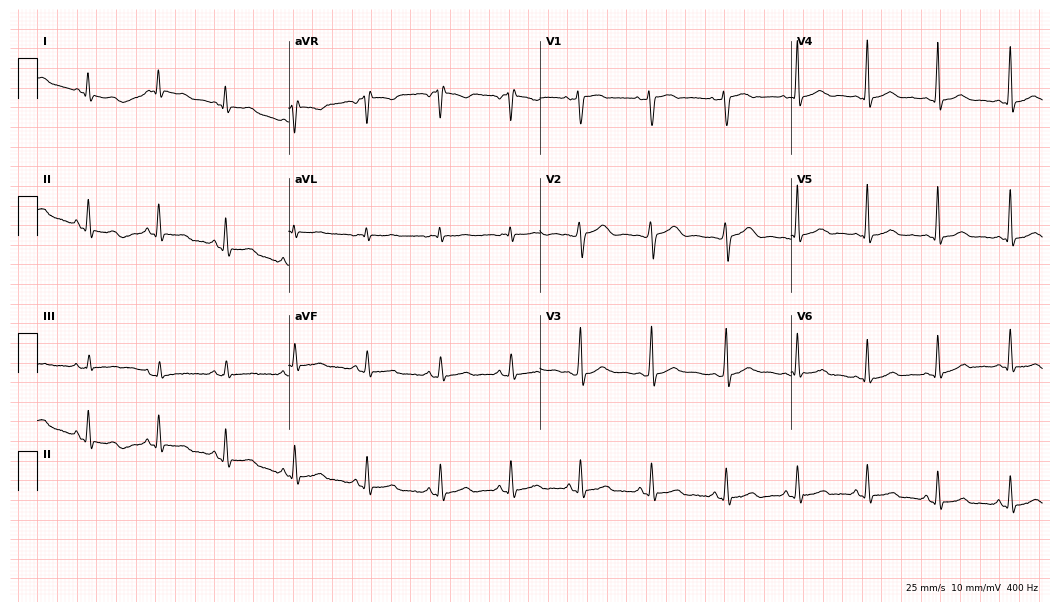
Resting 12-lead electrocardiogram. Patient: a woman, 34 years old. Read as a normal ECG.